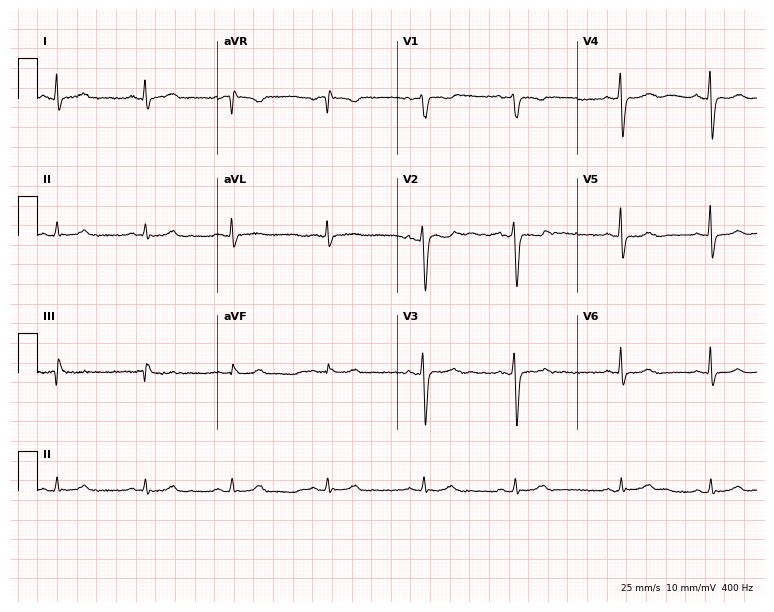
12-lead ECG from a female, 34 years old (7.3-second recording at 400 Hz). Recorded interpretation: within normal limits.